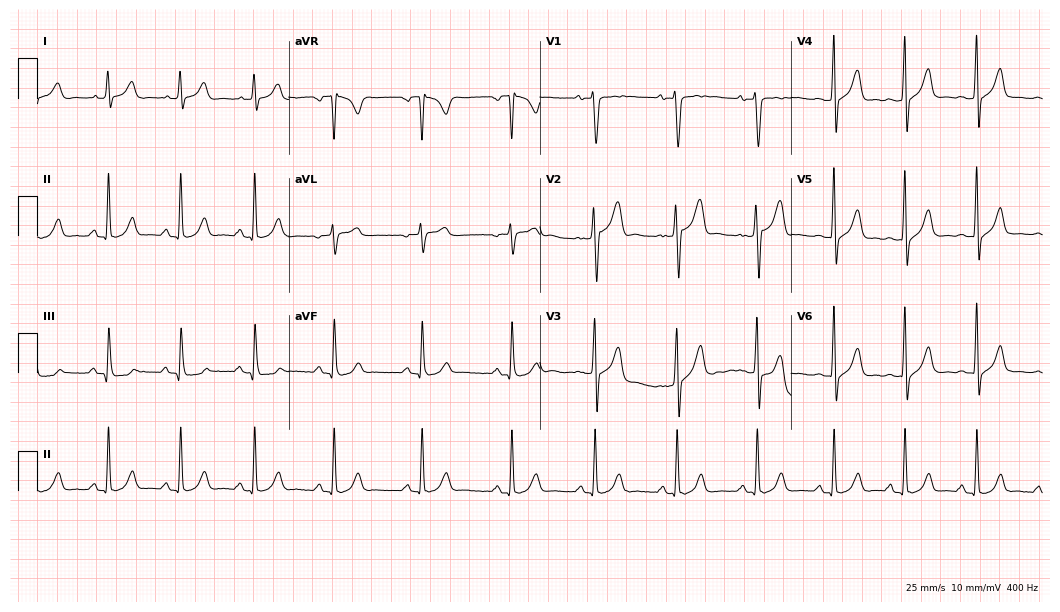
Resting 12-lead electrocardiogram (10.2-second recording at 400 Hz). Patient: a 24-year-old male. Read as a normal ECG.